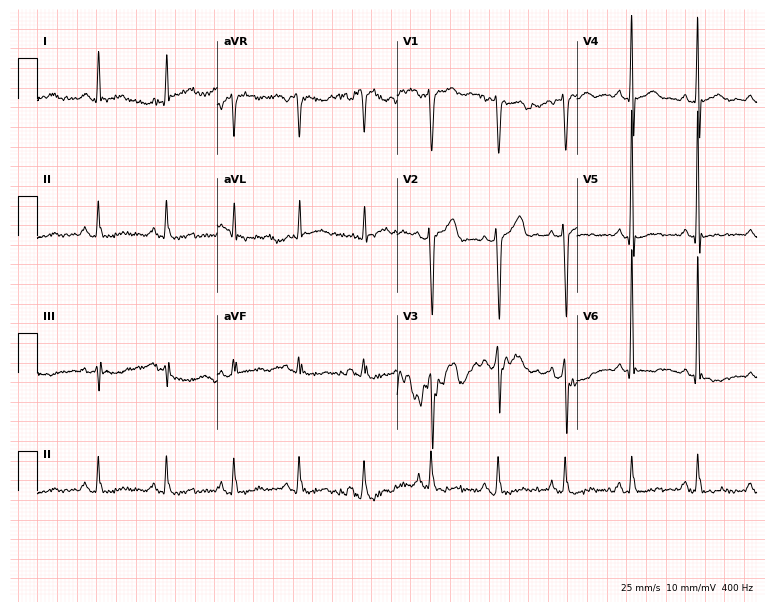
12-lead ECG (7.3-second recording at 400 Hz) from a male, 51 years old. Labelled as a normal ECG.